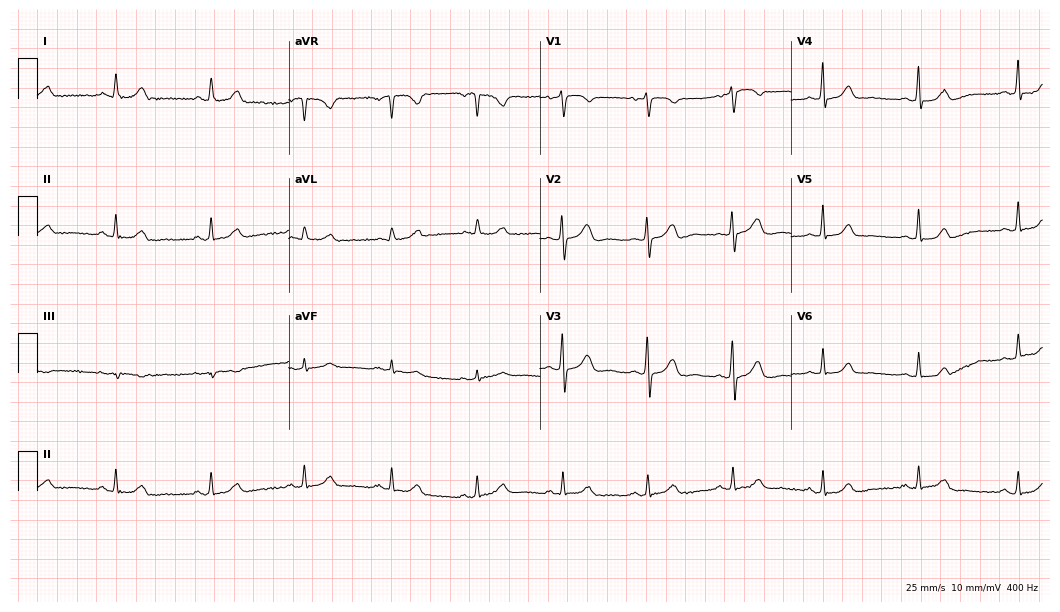
ECG (10.2-second recording at 400 Hz) — a female, 58 years old. Labelled as a normal ECG.